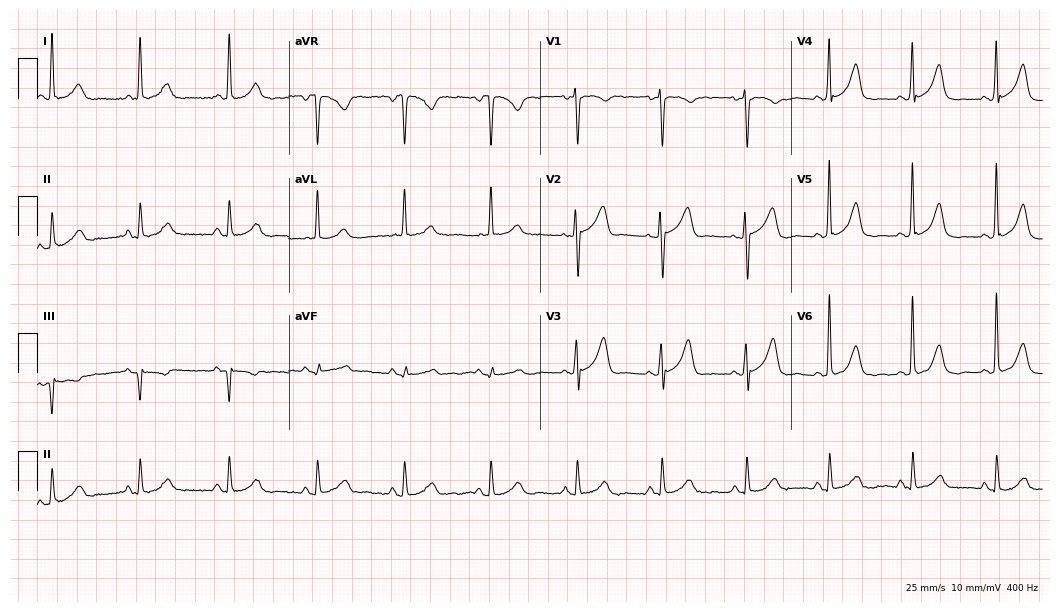
Resting 12-lead electrocardiogram. Patient: a 78-year-old woman. Read as a normal ECG.